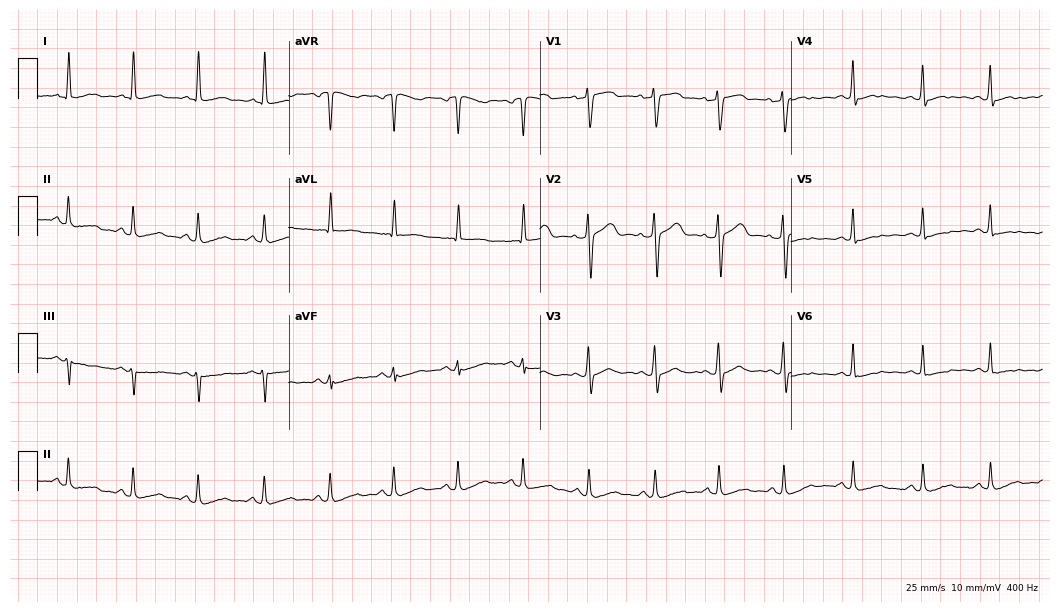
Resting 12-lead electrocardiogram (10.2-second recording at 400 Hz). Patient: a 52-year-old female. None of these six findings is recorded: first-degree AV block, right bundle branch block, left bundle branch block, sinus bradycardia, atrial fibrillation, sinus tachycardia. Other findings, if any, are not listed.